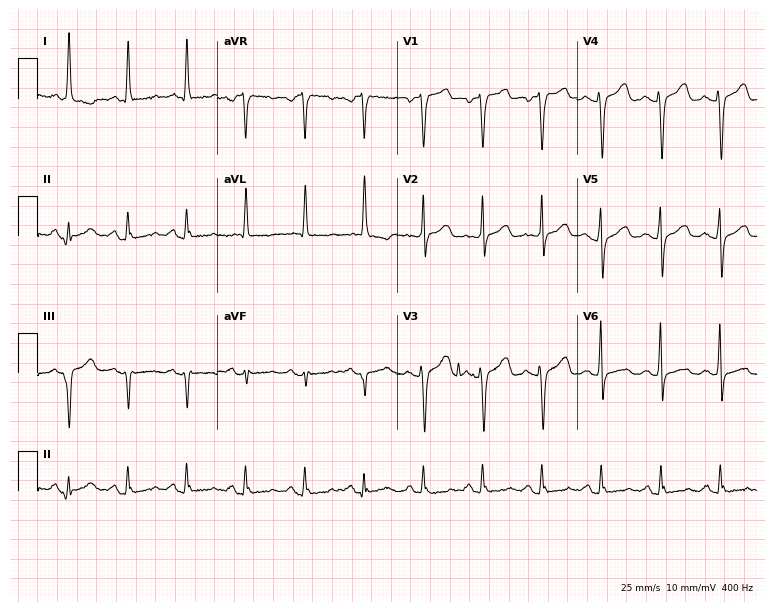
Resting 12-lead electrocardiogram. Patient: a 61-year-old female. Read as a normal ECG.